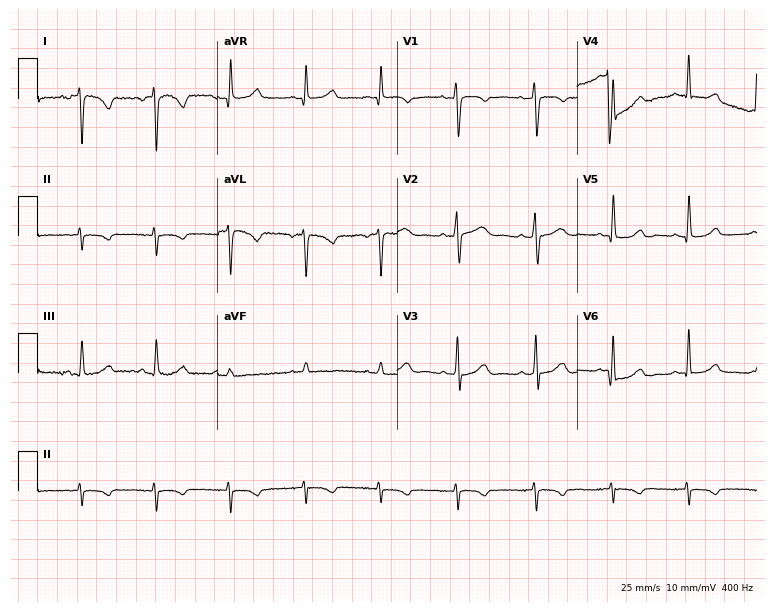
12-lead ECG (7.3-second recording at 400 Hz) from a 41-year-old female. Screened for six findings — first-degree AV block, right bundle branch block, left bundle branch block, sinus bradycardia, atrial fibrillation, sinus tachycardia — none is recorded.